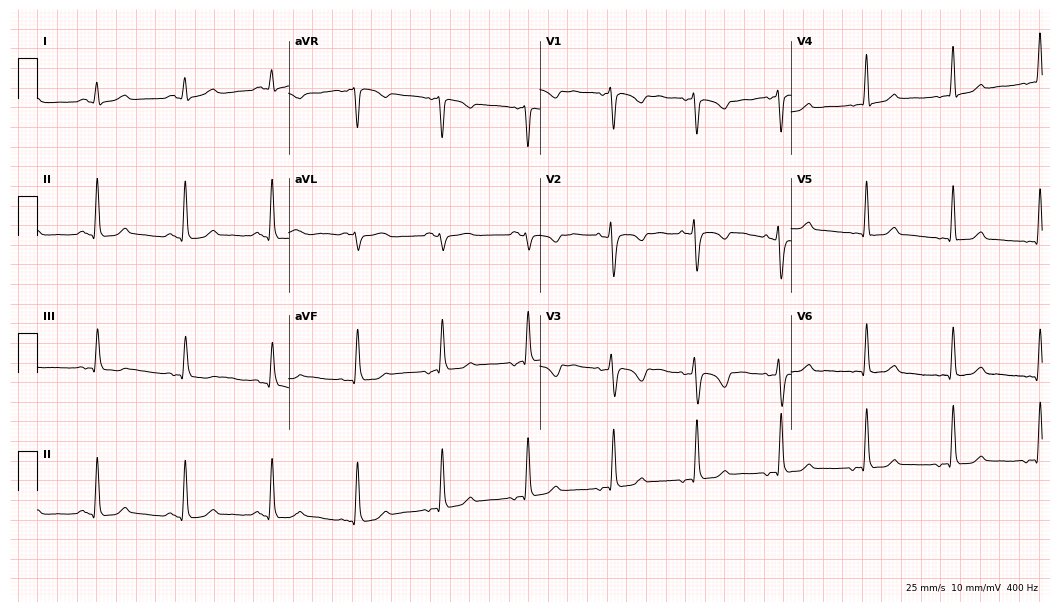
12-lead ECG (10.2-second recording at 400 Hz) from a female, 32 years old. Screened for six findings — first-degree AV block, right bundle branch block, left bundle branch block, sinus bradycardia, atrial fibrillation, sinus tachycardia — none is recorded.